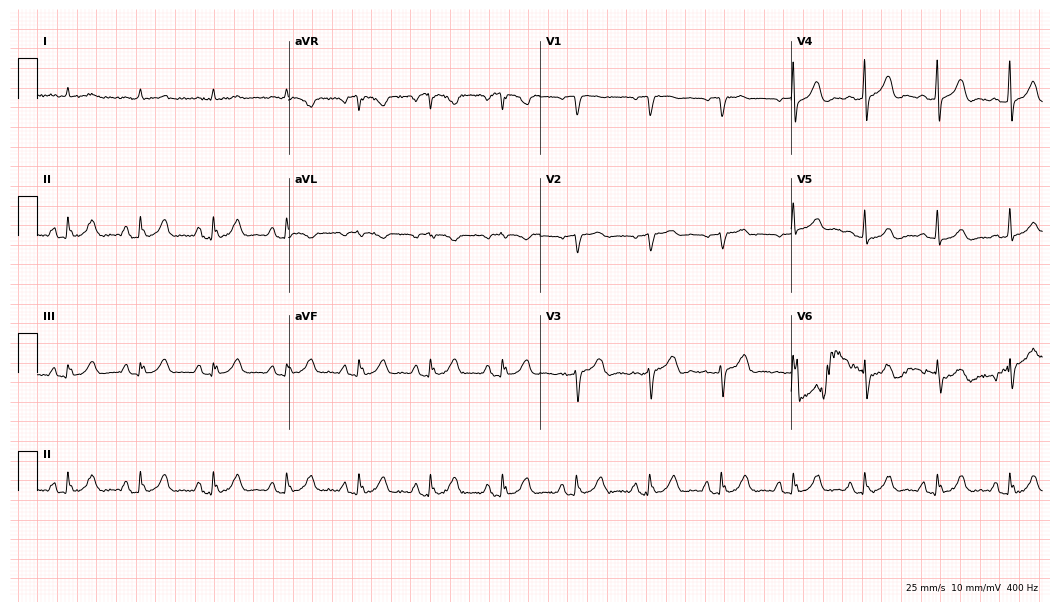
Electrocardiogram (10.2-second recording at 400 Hz), a 75-year-old male. Overall reading on record: normal ECG.